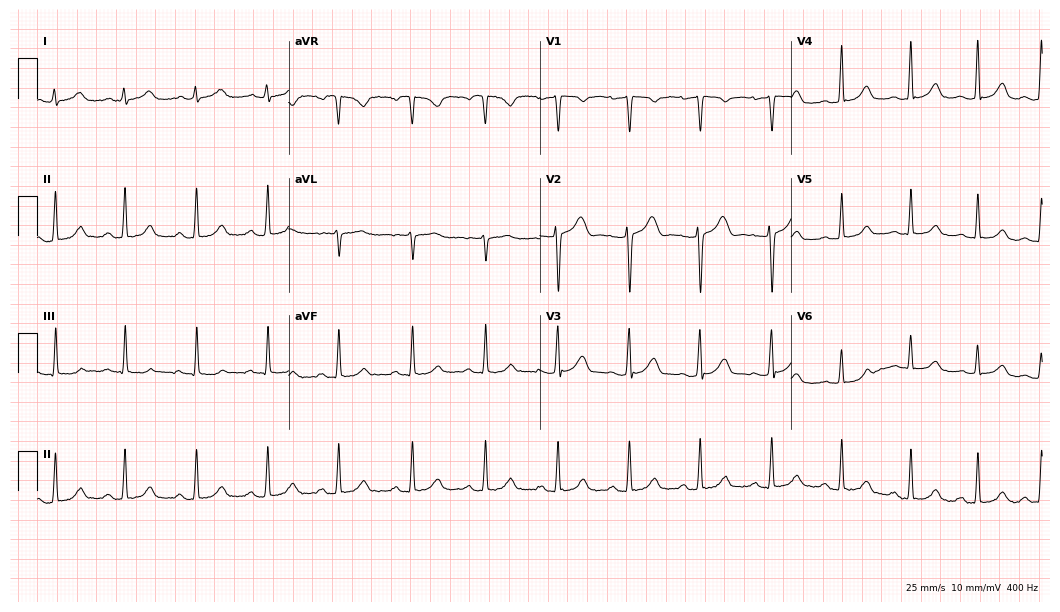
Standard 12-lead ECG recorded from a 36-year-old woman. Read as a normal ECG.